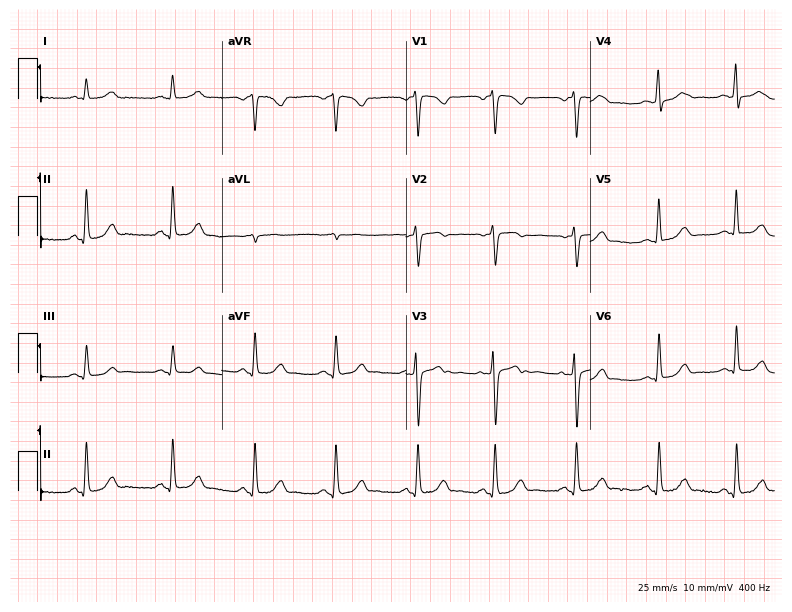
ECG — a 44-year-old woman. Labelled as a normal ECG.